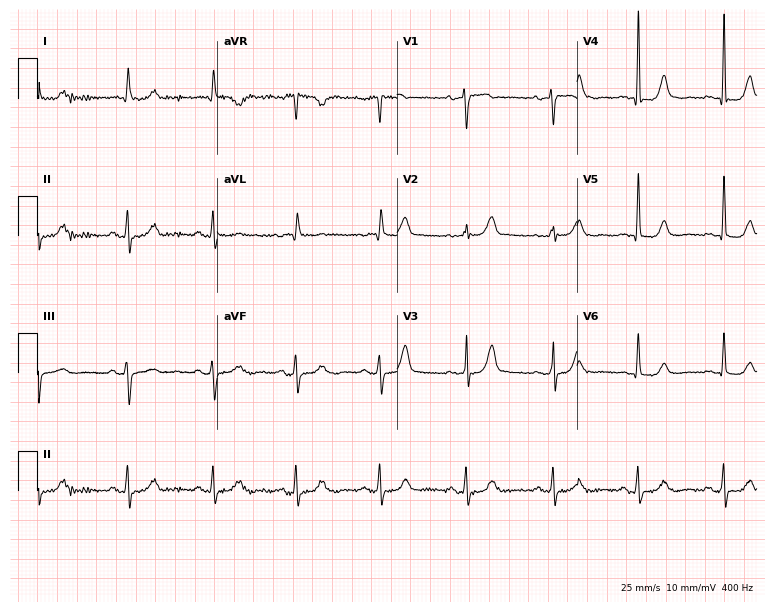
Standard 12-lead ECG recorded from a female patient, 75 years old (7.3-second recording at 400 Hz). Read as a normal ECG.